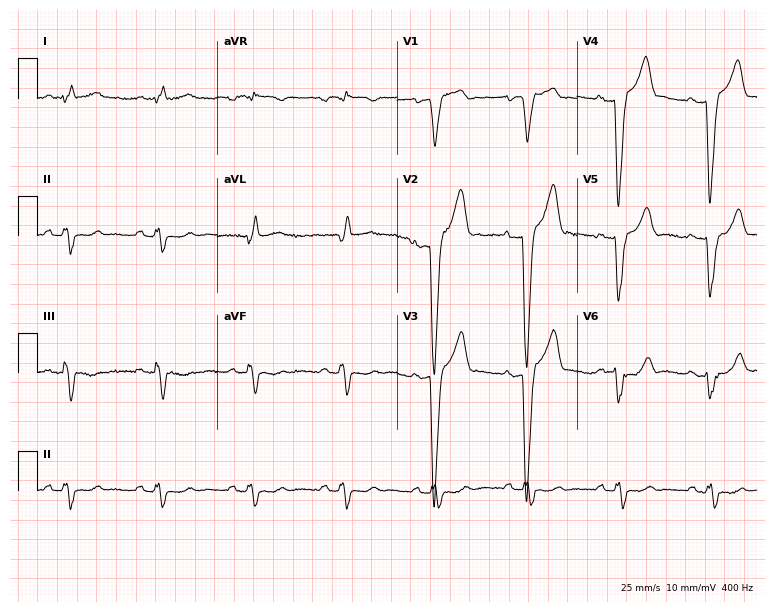
Electrocardiogram, a man, 59 years old. Of the six screened findings (first-degree AV block, right bundle branch block, left bundle branch block, sinus bradycardia, atrial fibrillation, sinus tachycardia), none is recorded. Only these six findings were labelled.